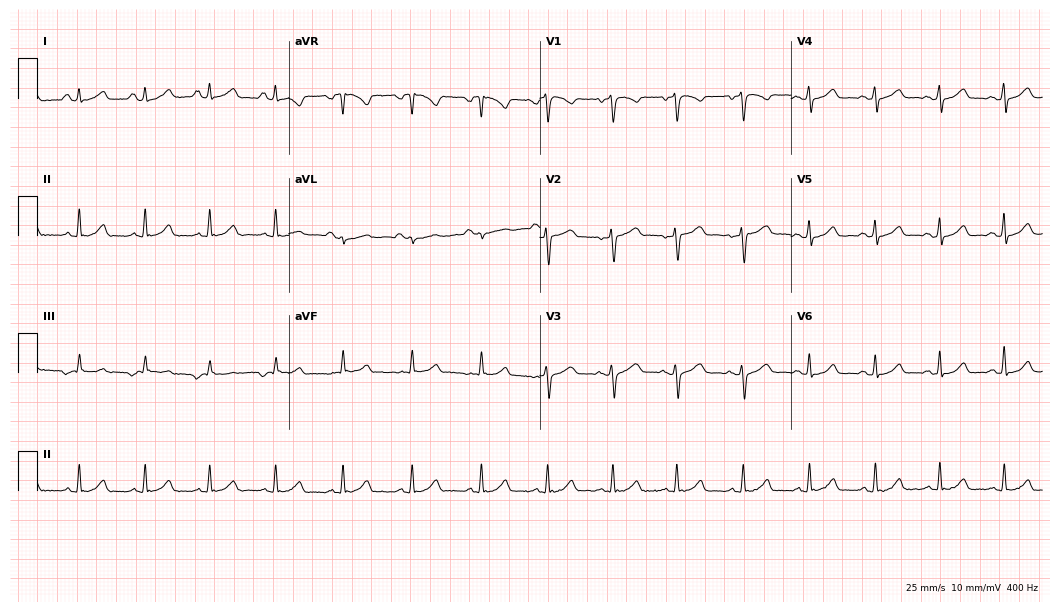
Standard 12-lead ECG recorded from a 33-year-old female patient (10.2-second recording at 400 Hz). Read as a normal ECG.